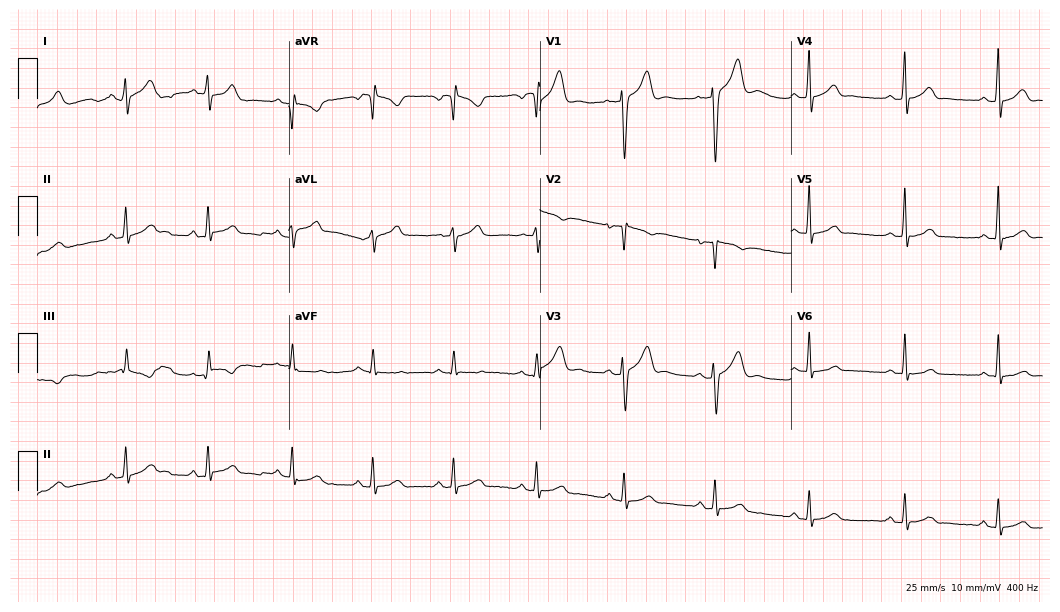
Resting 12-lead electrocardiogram (10.2-second recording at 400 Hz). Patient: a 33-year-old male. None of these six findings is recorded: first-degree AV block, right bundle branch block, left bundle branch block, sinus bradycardia, atrial fibrillation, sinus tachycardia. Findings outside these six are not listed.